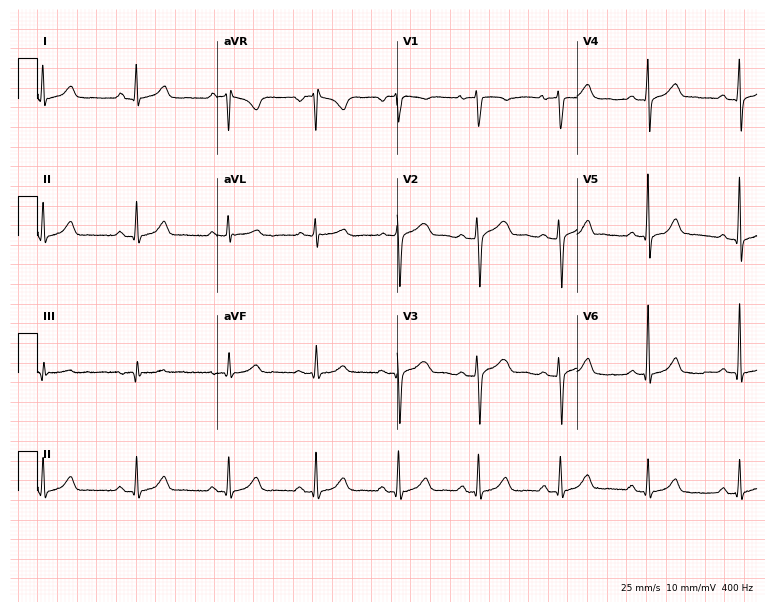
12-lead ECG from a man, 25 years old (7.3-second recording at 400 Hz). Recorded interpretation: within normal limits.